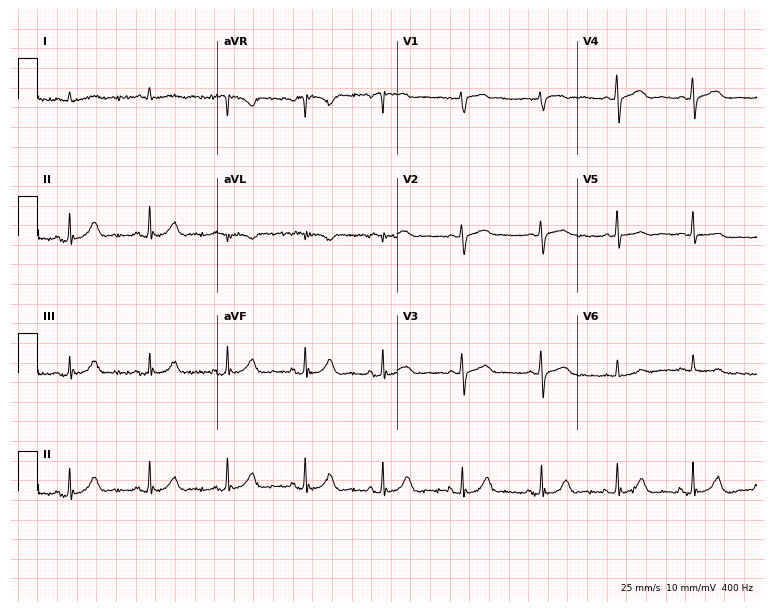
Standard 12-lead ECG recorded from an 81-year-old male. Read as a normal ECG.